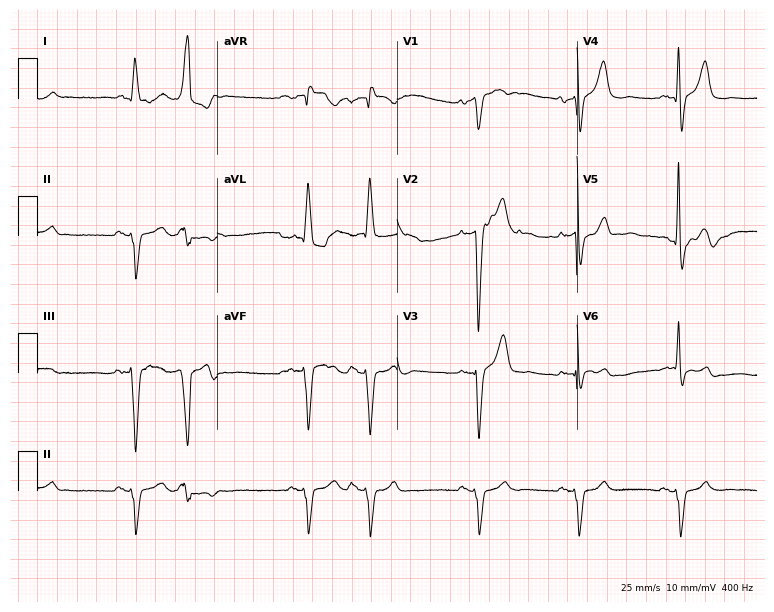
Resting 12-lead electrocardiogram (7.3-second recording at 400 Hz). Patient: a male, 81 years old. None of these six findings is recorded: first-degree AV block, right bundle branch block (RBBB), left bundle branch block (LBBB), sinus bradycardia, atrial fibrillation (AF), sinus tachycardia.